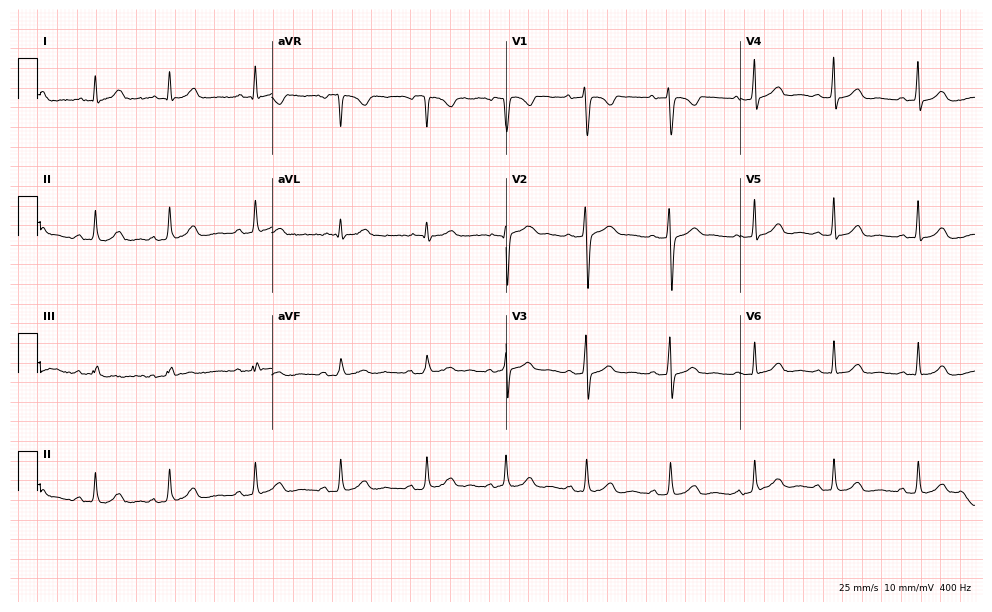
Electrocardiogram, a female patient, 39 years old. Overall reading on record: normal ECG.